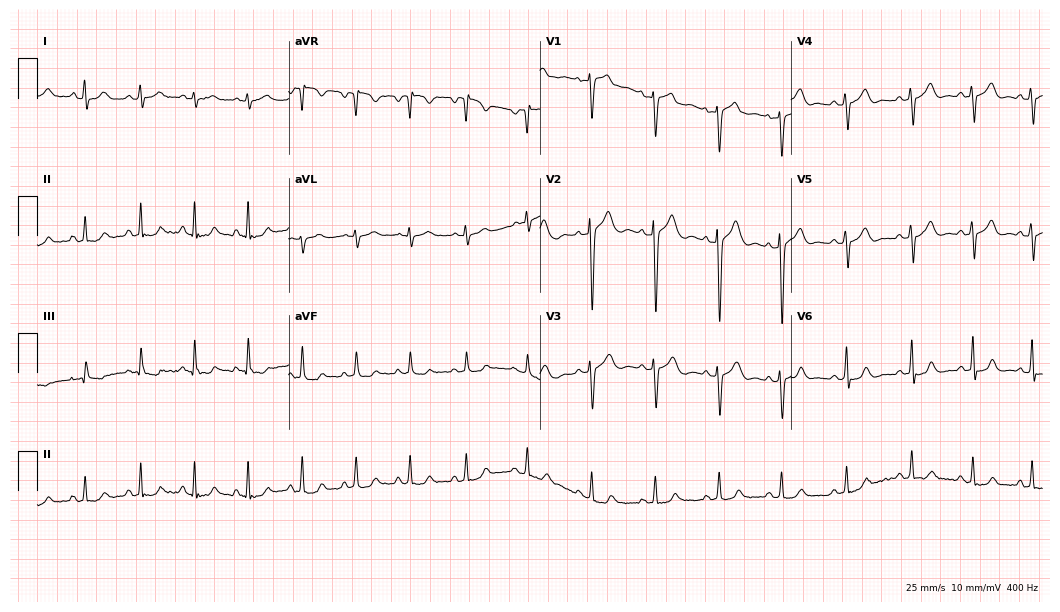
Standard 12-lead ECG recorded from a male, 37 years old. Read as a normal ECG.